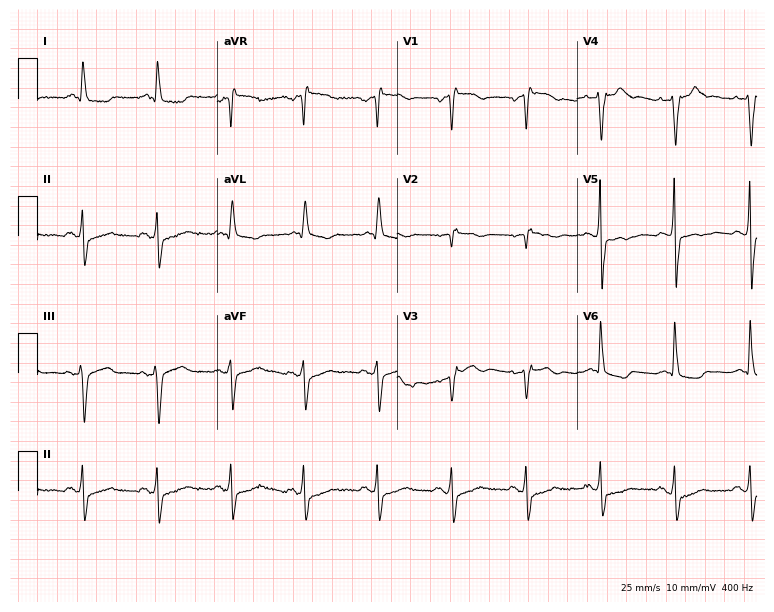
12-lead ECG from a male patient, 68 years old (7.3-second recording at 400 Hz). No first-degree AV block, right bundle branch block, left bundle branch block, sinus bradycardia, atrial fibrillation or sinus tachycardia recorded for this tracing.